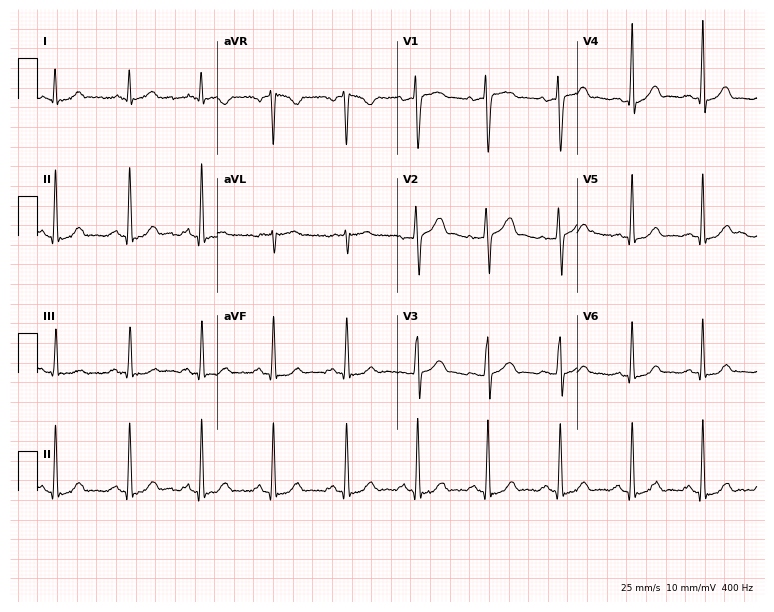
Resting 12-lead electrocardiogram (7.3-second recording at 400 Hz). Patient: a male, 43 years old. None of these six findings is recorded: first-degree AV block, right bundle branch block, left bundle branch block, sinus bradycardia, atrial fibrillation, sinus tachycardia.